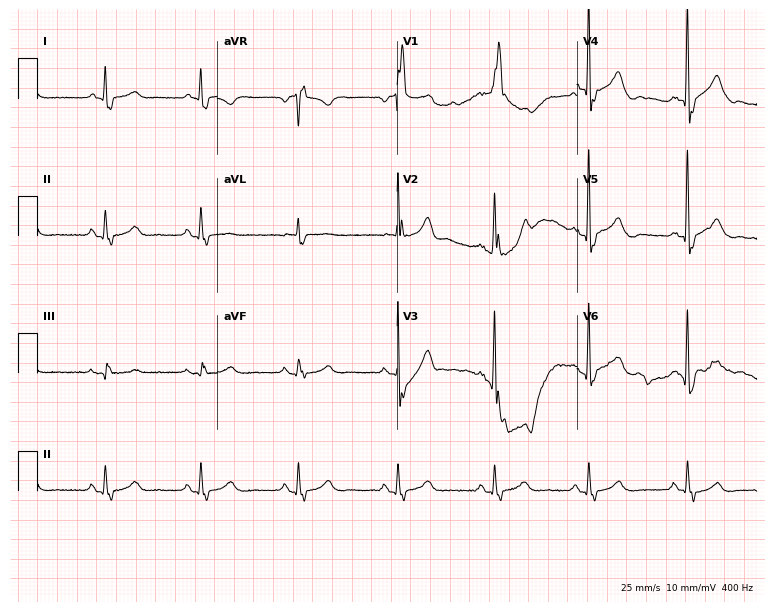
ECG — an 84-year-old male patient. Findings include right bundle branch block.